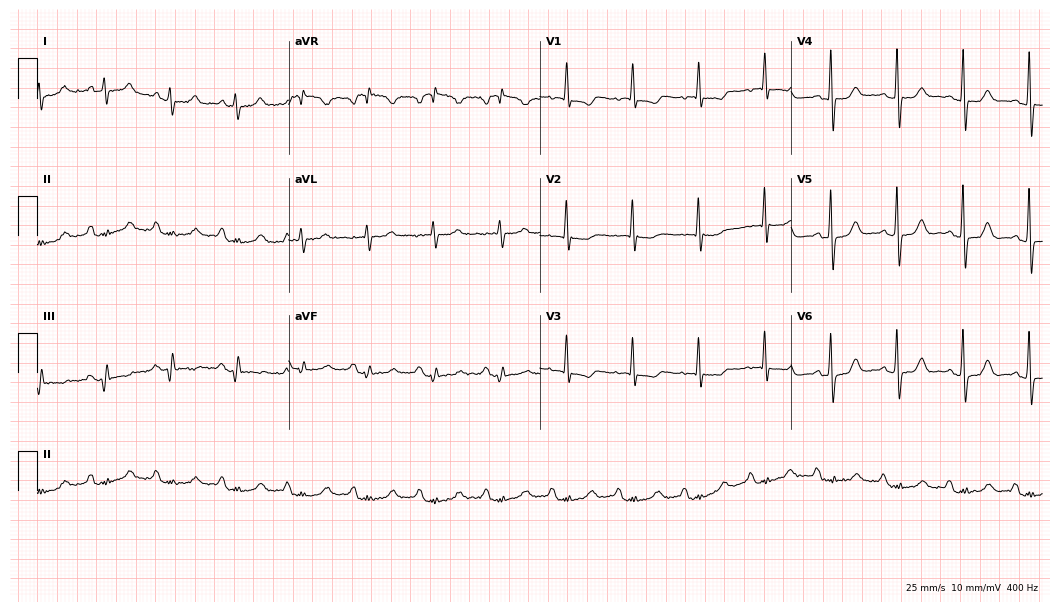
12-lead ECG from a woman, 64 years old. Screened for six findings — first-degree AV block, right bundle branch block, left bundle branch block, sinus bradycardia, atrial fibrillation, sinus tachycardia — none is recorded.